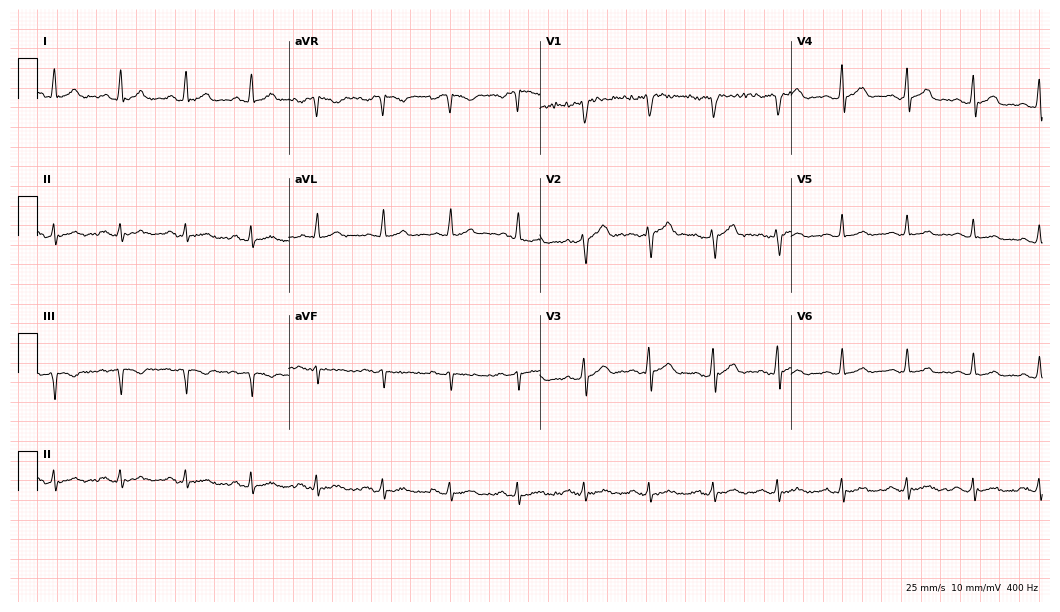
Electrocardiogram (10.2-second recording at 400 Hz), a 51-year-old man. Overall reading on record: normal ECG.